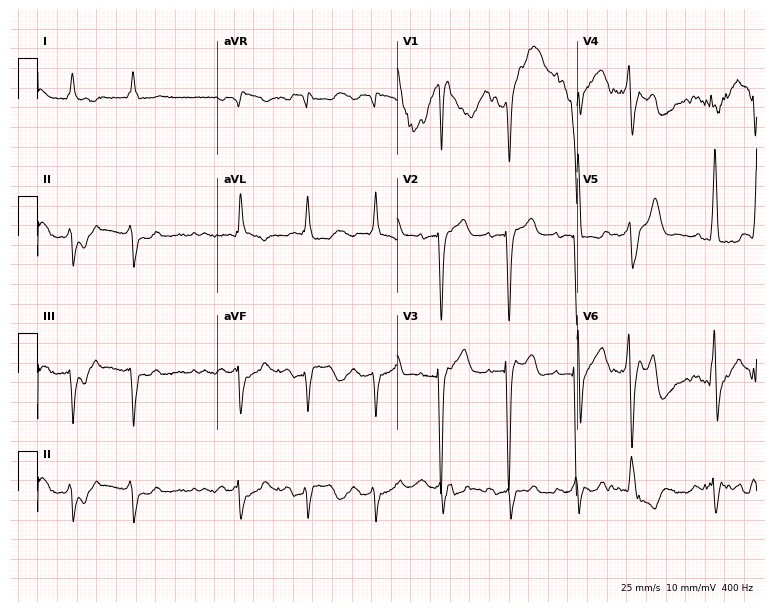
ECG (7.3-second recording at 400 Hz) — a 76-year-old man. Screened for six findings — first-degree AV block, right bundle branch block, left bundle branch block, sinus bradycardia, atrial fibrillation, sinus tachycardia — none is recorded. Only these six findings were labelled.